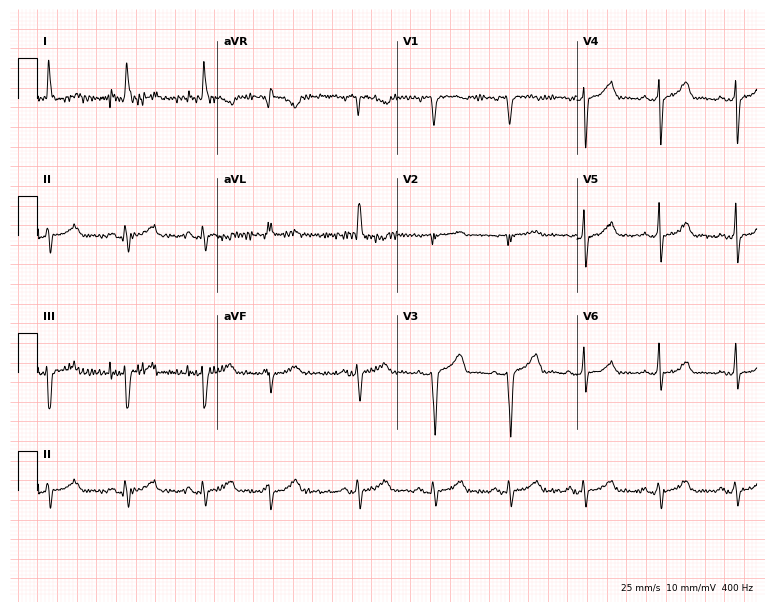
ECG — a 67-year-old female patient. Labelled as a normal ECG.